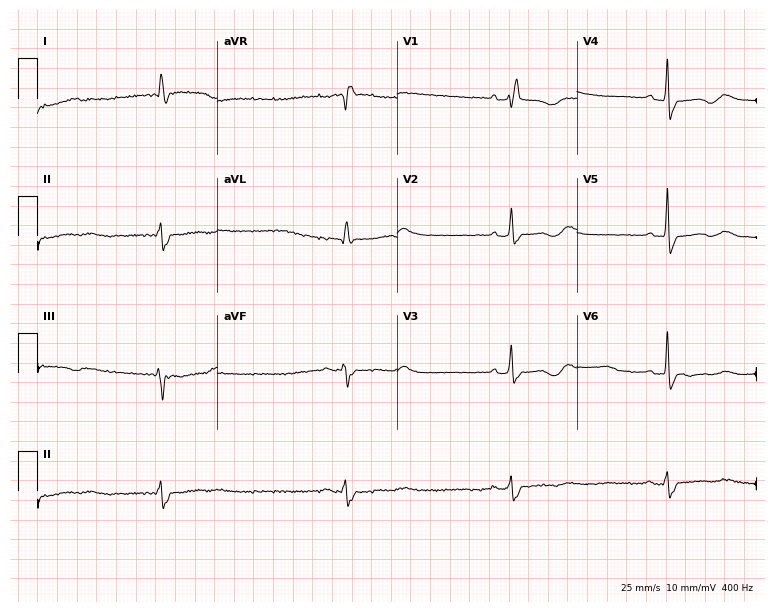
12-lead ECG (7.3-second recording at 400 Hz) from a woman, 68 years old. Findings include right bundle branch block, sinus bradycardia (a sinus rate of 50 beats per minute or less).